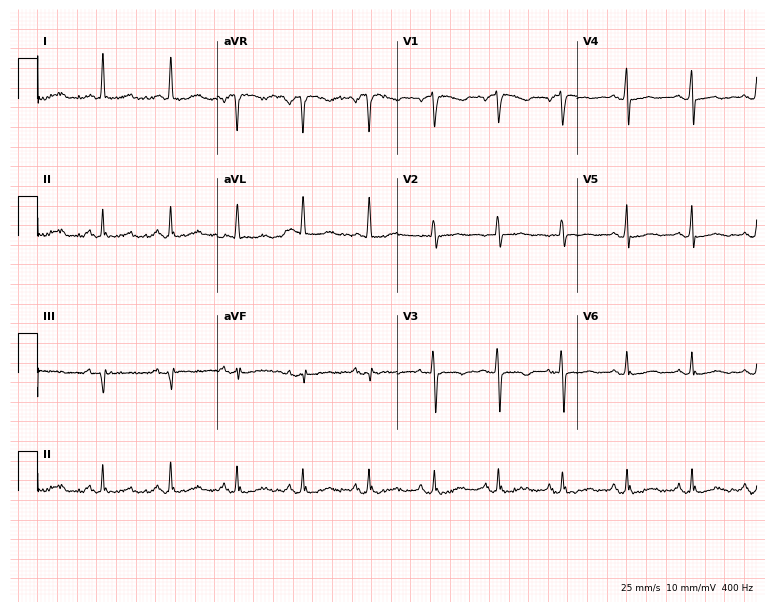
ECG (7.3-second recording at 400 Hz) — a 52-year-old female patient. Screened for six findings — first-degree AV block, right bundle branch block, left bundle branch block, sinus bradycardia, atrial fibrillation, sinus tachycardia — none is recorded.